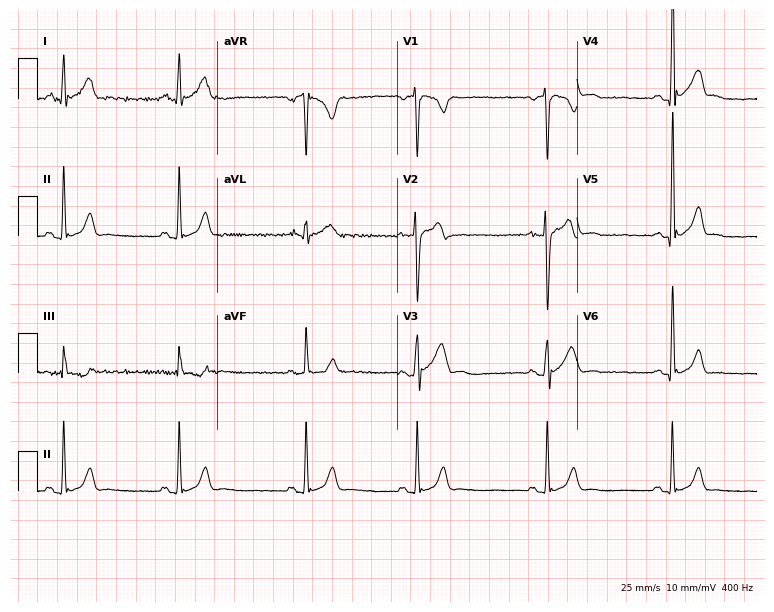
Electrocardiogram (7.3-second recording at 400 Hz), a 26-year-old man. Overall reading on record: normal ECG.